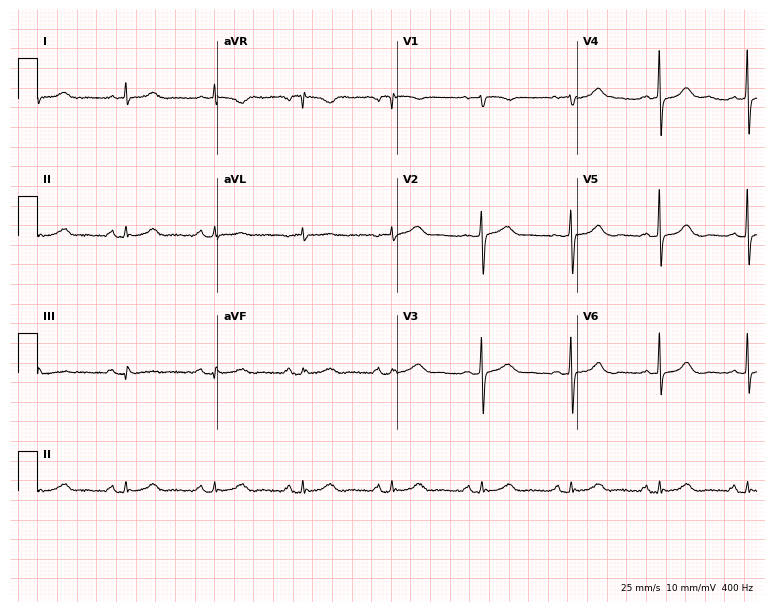
Electrocardiogram (7.3-second recording at 400 Hz), a 51-year-old female. Overall reading on record: normal ECG.